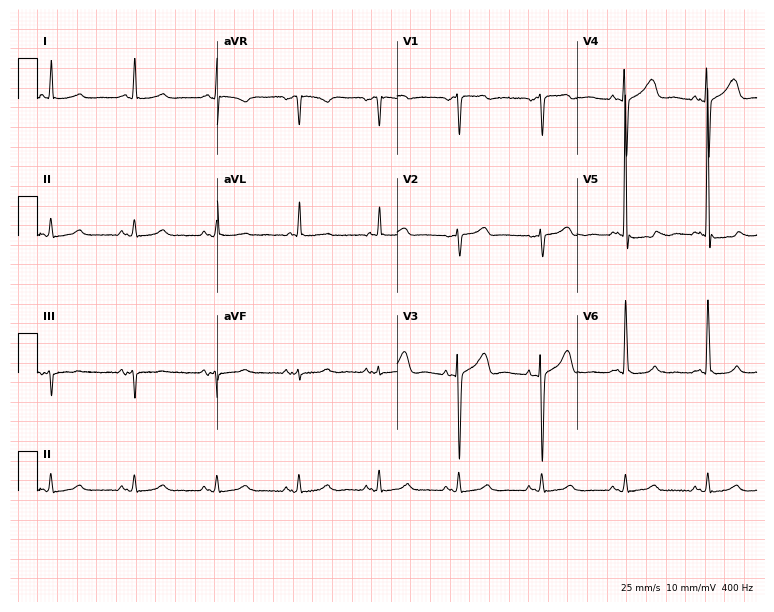
12-lead ECG from a female patient, 79 years old. No first-degree AV block, right bundle branch block, left bundle branch block, sinus bradycardia, atrial fibrillation or sinus tachycardia recorded for this tracing.